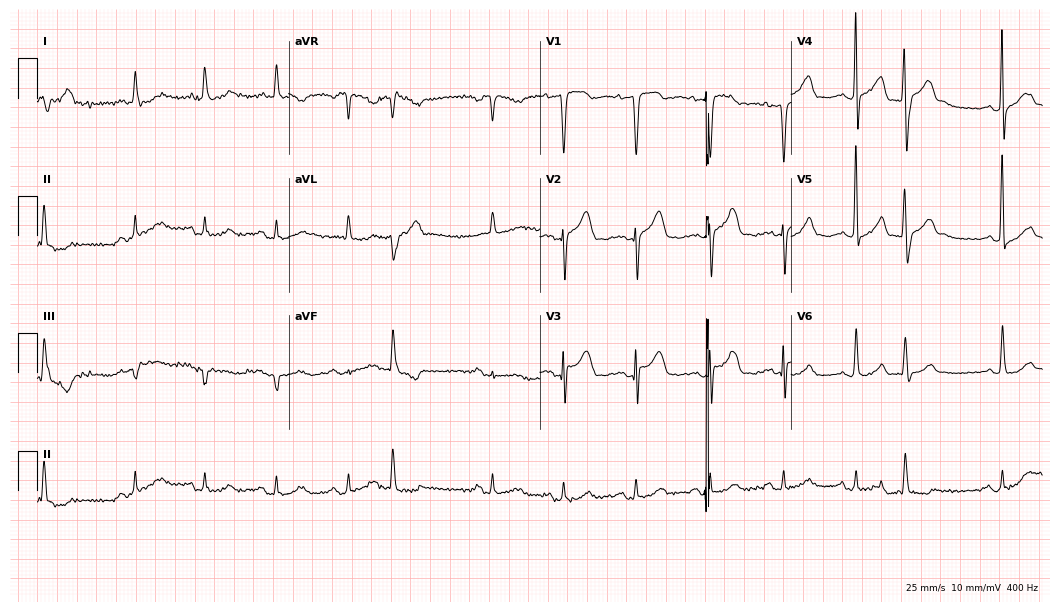
Electrocardiogram (10.2-second recording at 400 Hz), an 85-year-old female patient. Of the six screened findings (first-degree AV block, right bundle branch block, left bundle branch block, sinus bradycardia, atrial fibrillation, sinus tachycardia), none is recorded. Only these six findings were labelled.